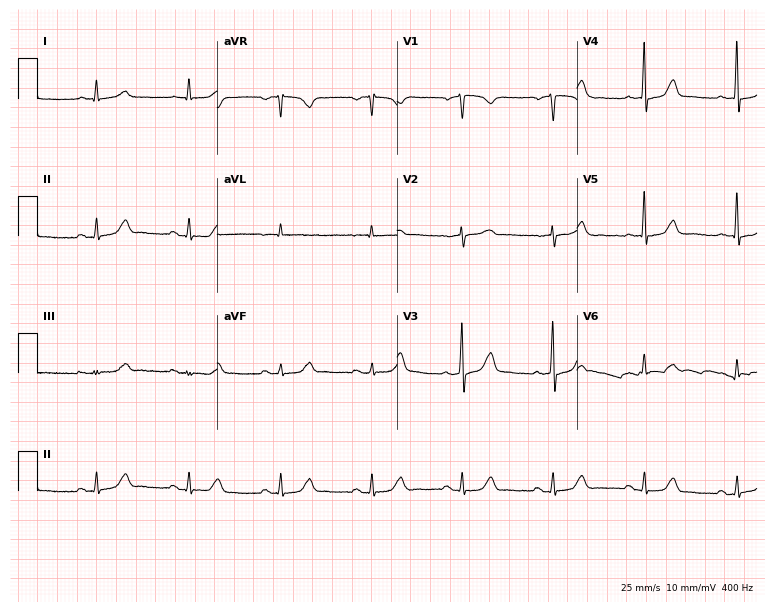
Electrocardiogram (7.3-second recording at 400 Hz), a male, 61 years old. Overall reading on record: normal ECG.